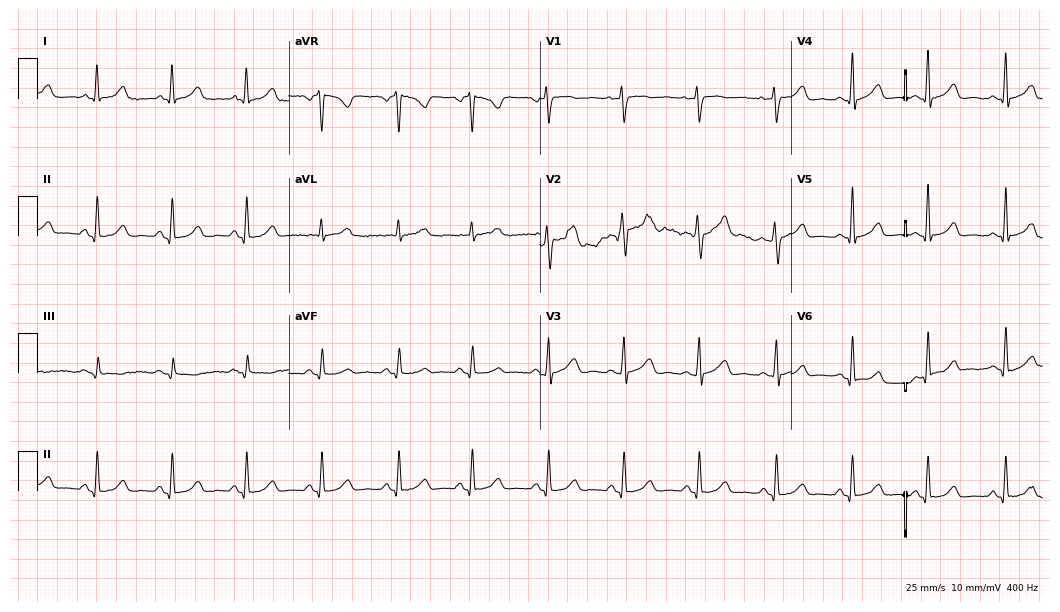
12-lead ECG (10.2-second recording at 400 Hz) from a woman, 29 years old. Labelled as a normal ECG.